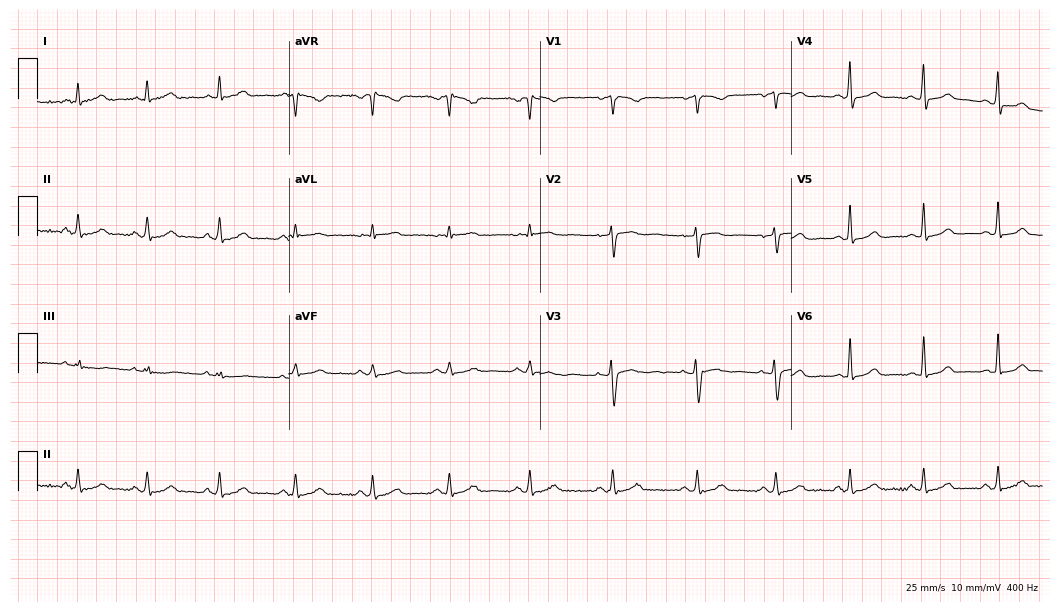
12-lead ECG (10.2-second recording at 400 Hz) from a female, 35 years old. Screened for six findings — first-degree AV block, right bundle branch block, left bundle branch block, sinus bradycardia, atrial fibrillation, sinus tachycardia — none is recorded. Only these six findings were labelled.